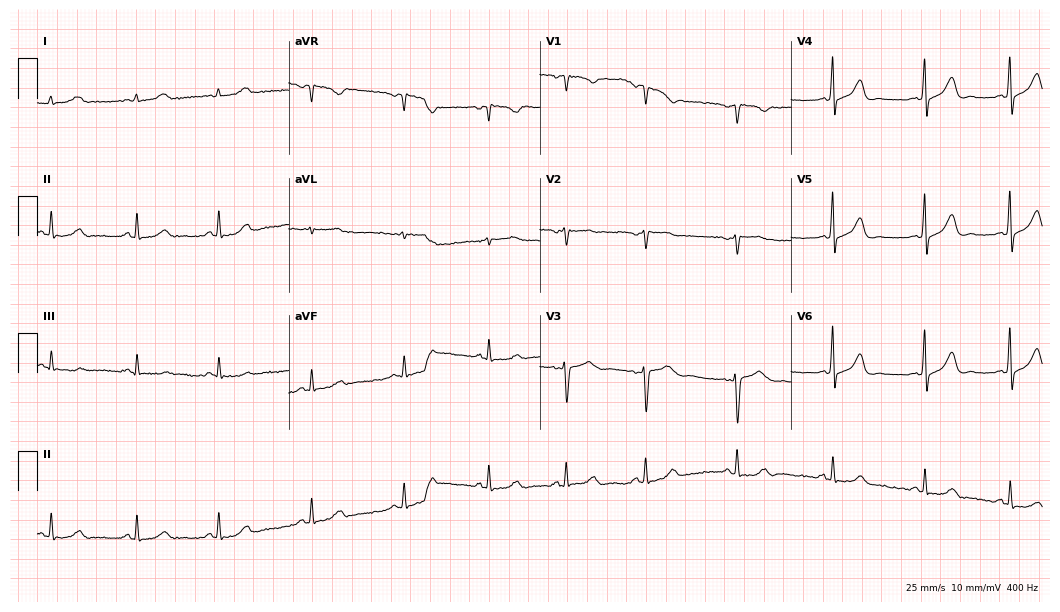
Resting 12-lead electrocardiogram. Patient: a female, 42 years old. Read as a normal ECG.